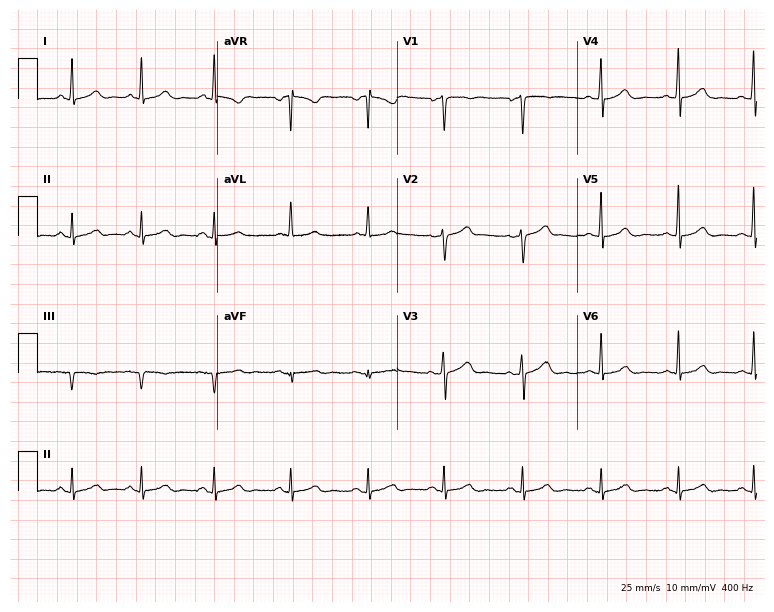
12-lead ECG (7.3-second recording at 400 Hz) from a 48-year-old man. Labelled as a normal ECG.